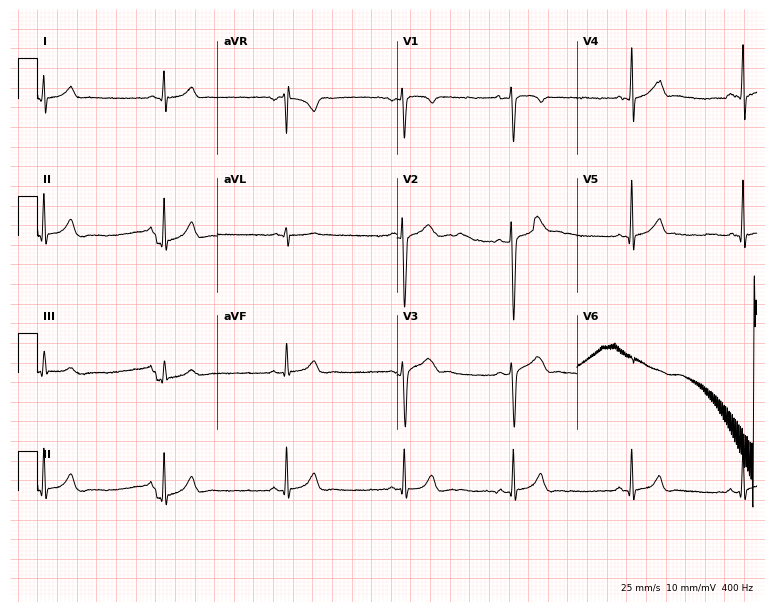
ECG (7.3-second recording at 400 Hz) — a male patient, 18 years old. Labelled as a normal ECG.